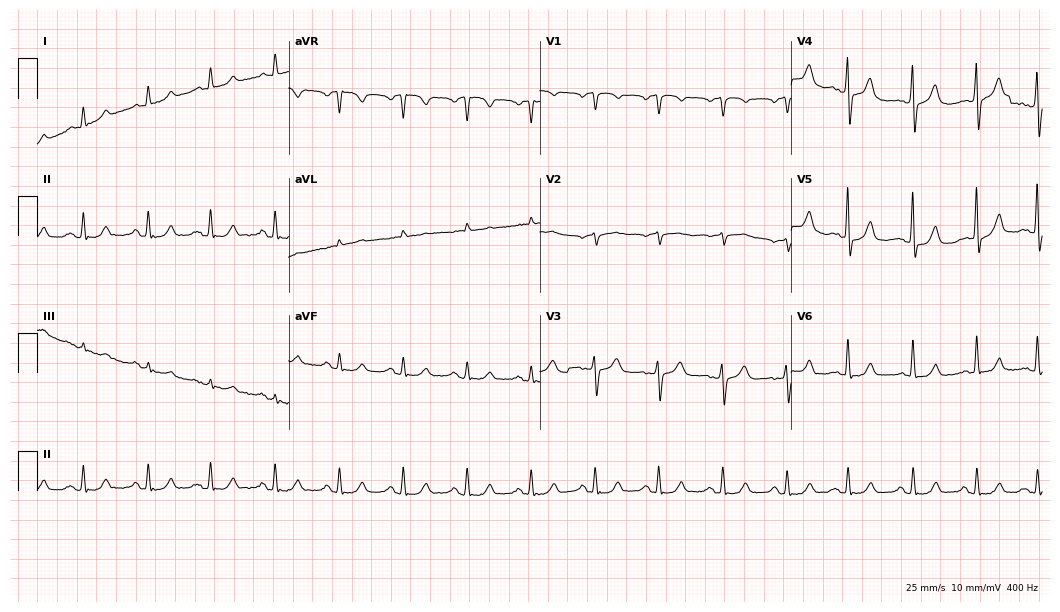
Standard 12-lead ECG recorded from a 69-year-old man. None of these six findings is recorded: first-degree AV block, right bundle branch block, left bundle branch block, sinus bradycardia, atrial fibrillation, sinus tachycardia.